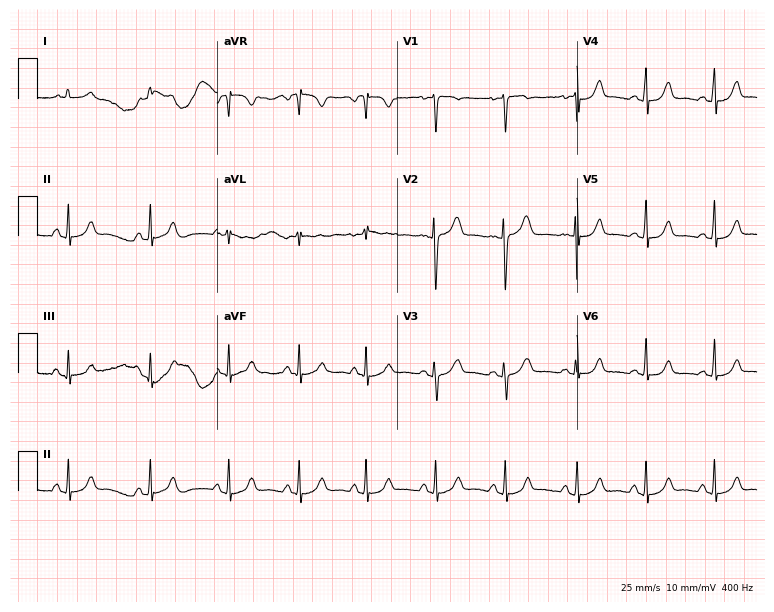
12-lead ECG from a 25-year-old female. Labelled as a normal ECG.